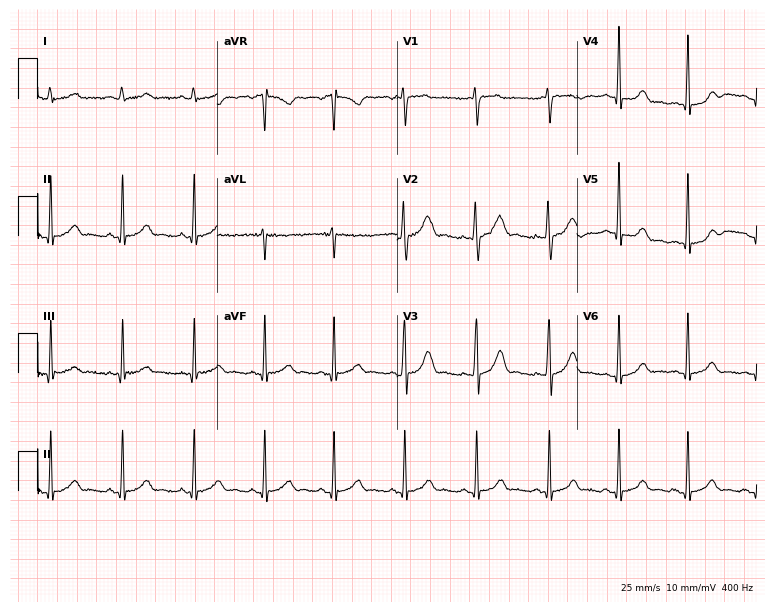
12-lead ECG (7.3-second recording at 400 Hz) from a 19-year-old female. Labelled as a normal ECG.